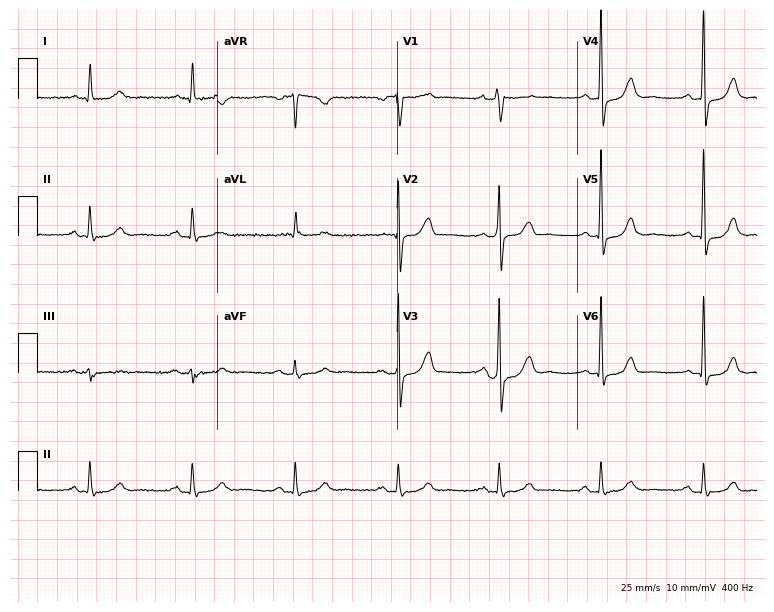
ECG — a male patient, 75 years old. Labelled as a normal ECG.